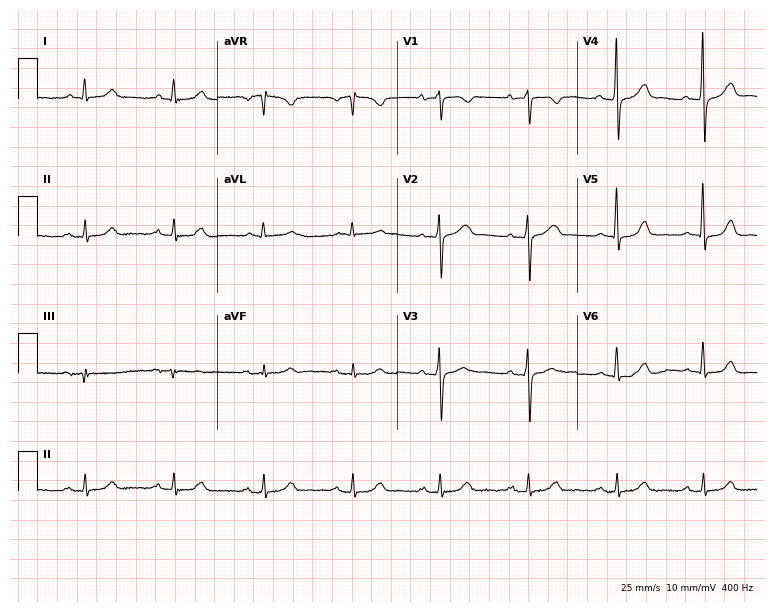
Resting 12-lead electrocardiogram (7.3-second recording at 400 Hz). Patient: a male, 63 years old. Read as a normal ECG.